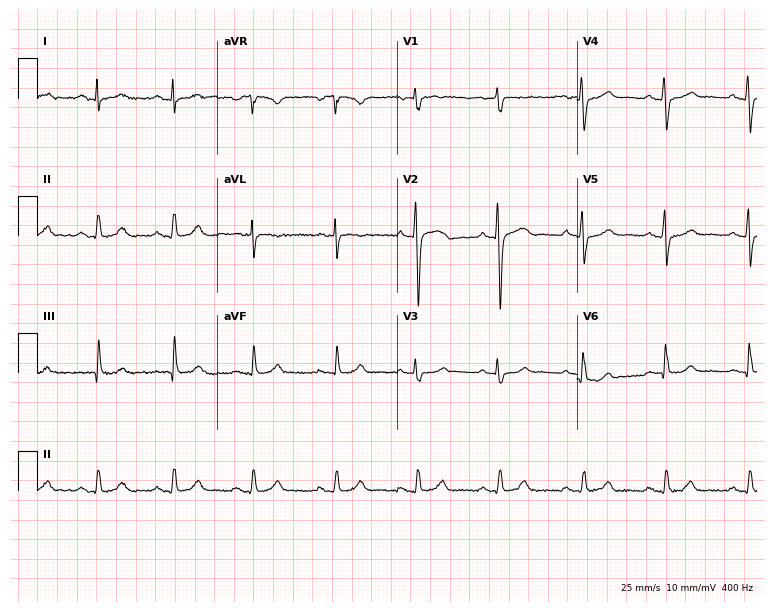
12-lead ECG from a man, 39 years old. Recorded interpretation: within normal limits.